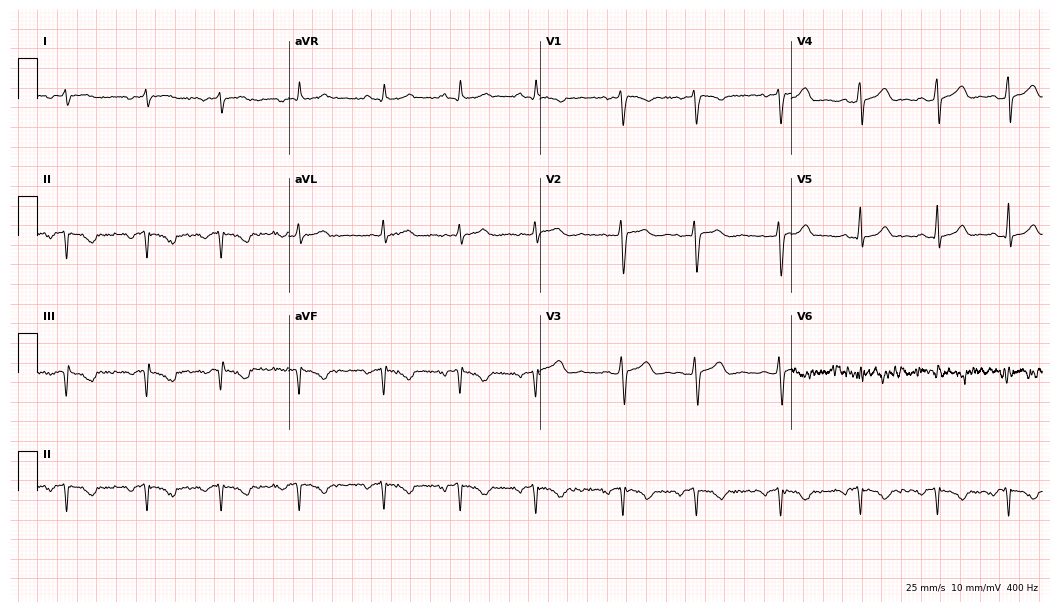
12-lead ECG from a 35-year-old woman. Screened for six findings — first-degree AV block, right bundle branch block, left bundle branch block, sinus bradycardia, atrial fibrillation, sinus tachycardia — none is recorded. Other findings, if any, are not listed.